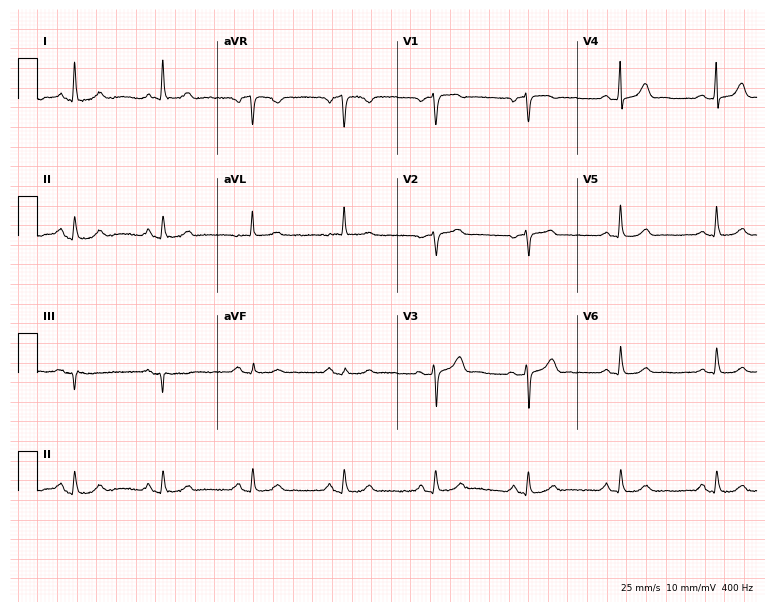
Resting 12-lead electrocardiogram. Patient: a female, 62 years old. Read as a normal ECG.